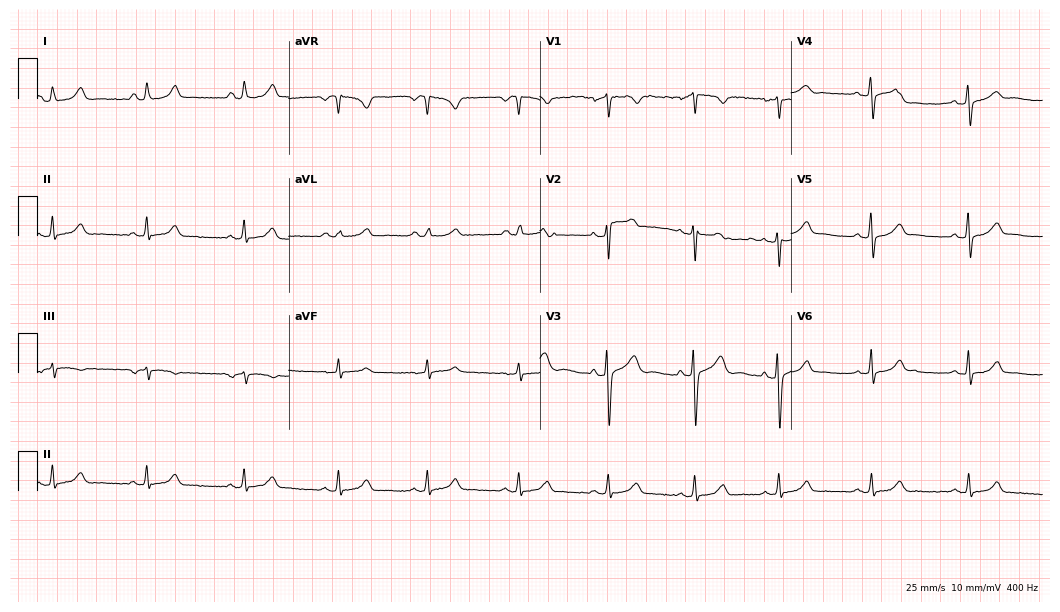
Resting 12-lead electrocardiogram (10.2-second recording at 400 Hz). Patient: a woman, 34 years old. Read as a normal ECG.